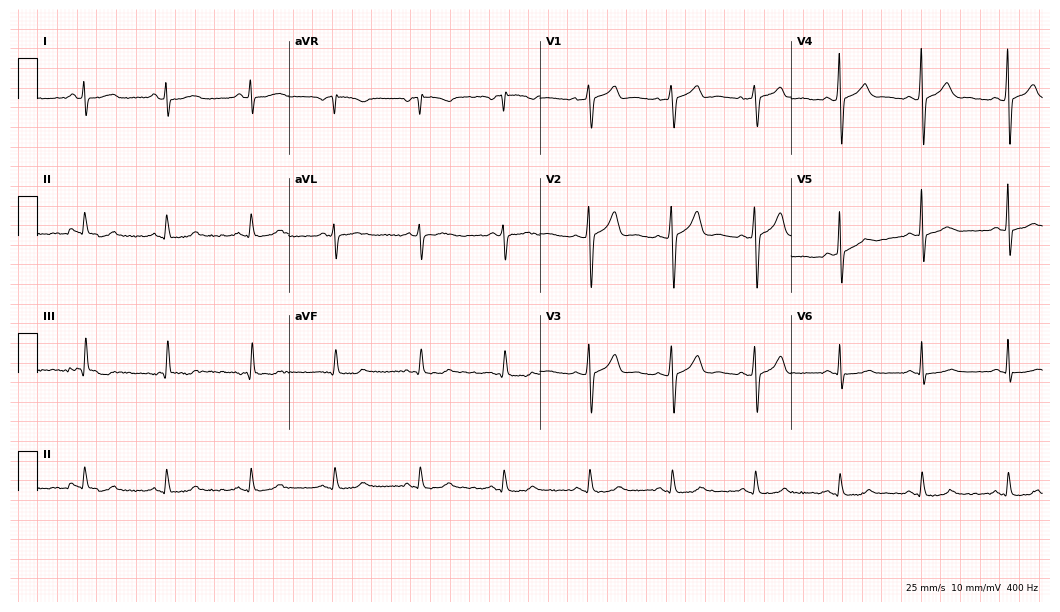
ECG (10.2-second recording at 400 Hz) — a 33-year-old male. Screened for six findings — first-degree AV block, right bundle branch block, left bundle branch block, sinus bradycardia, atrial fibrillation, sinus tachycardia — none is recorded. Other findings, if any, are not listed.